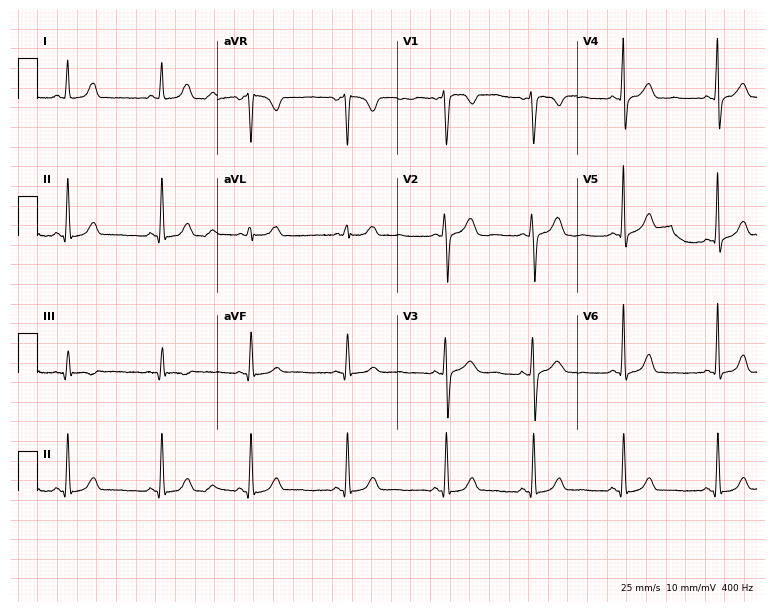
Standard 12-lead ECG recorded from a male patient, 32 years old. Read as a normal ECG.